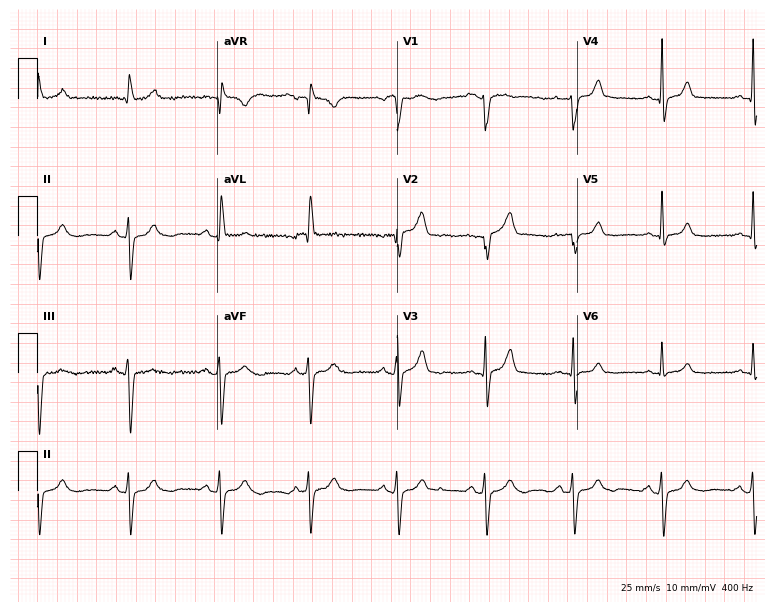
Standard 12-lead ECG recorded from a 45-year-old man. None of these six findings is recorded: first-degree AV block, right bundle branch block (RBBB), left bundle branch block (LBBB), sinus bradycardia, atrial fibrillation (AF), sinus tachycardia. Other findings, if any, are not listed.